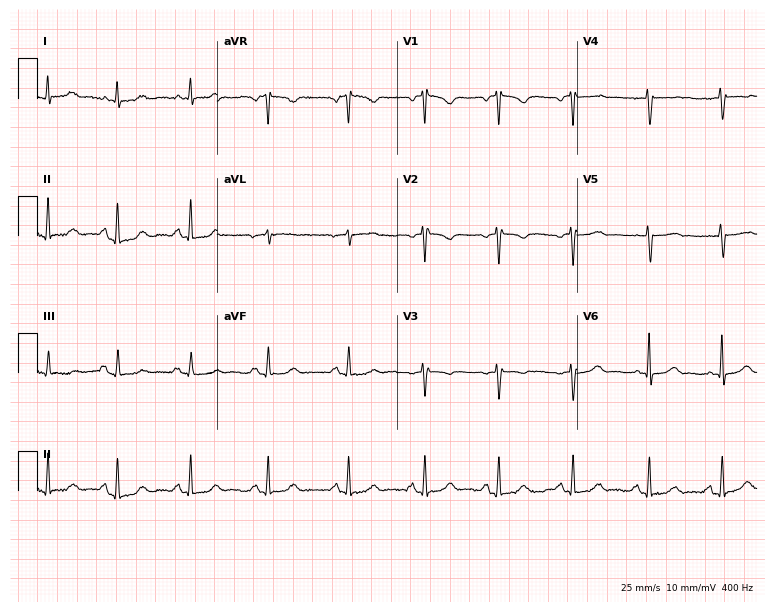
12-lead ECG (7.3-second recording at 400 Hz) from a woman, 79 years old. Labelled as a normal ECG.